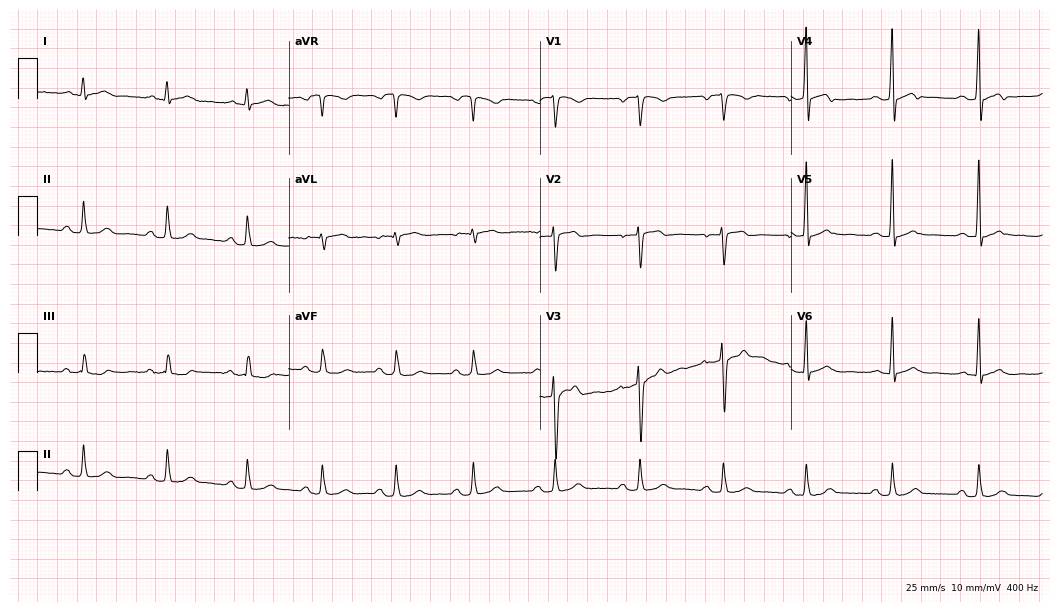
Electrocardiogram (10.2-second recording at 400 Hz), a male patient, 30 years old. Of the six screened findings (first-degree AV block, right bundle branch block, left bundle branch block, sinus bradycardia, atrial fibrillation, sinus tachycardia), none is recorded.